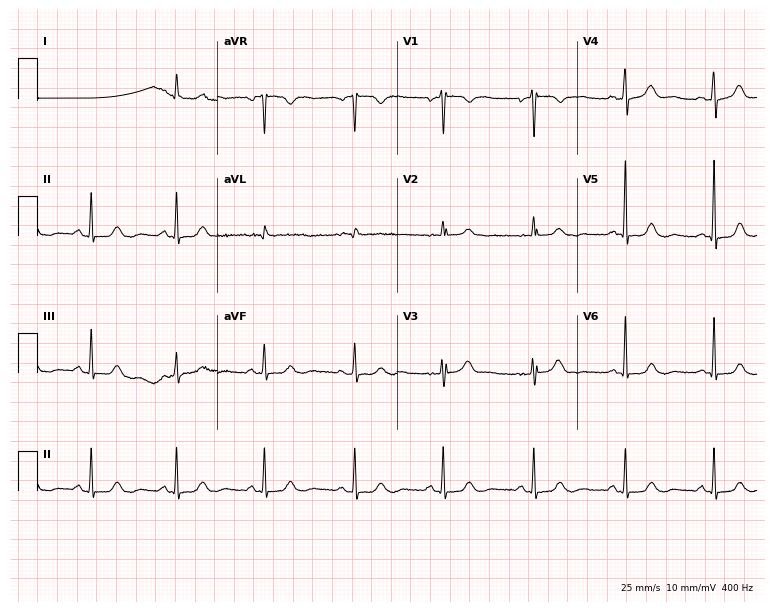
Standard 12-lead ECG recorded from a 66-year-old man. Read as a normal ECG.